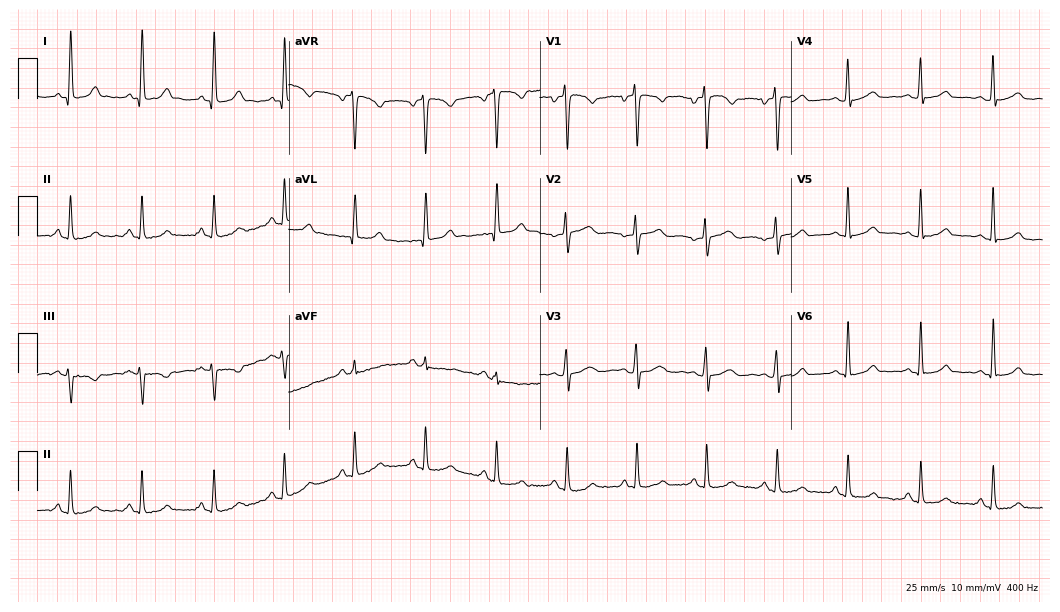
Resting 12-lead electrocardiogram (10.2-second recording at 400 Hz). Patient: a 35-year-old female. Read as a normal ECG.